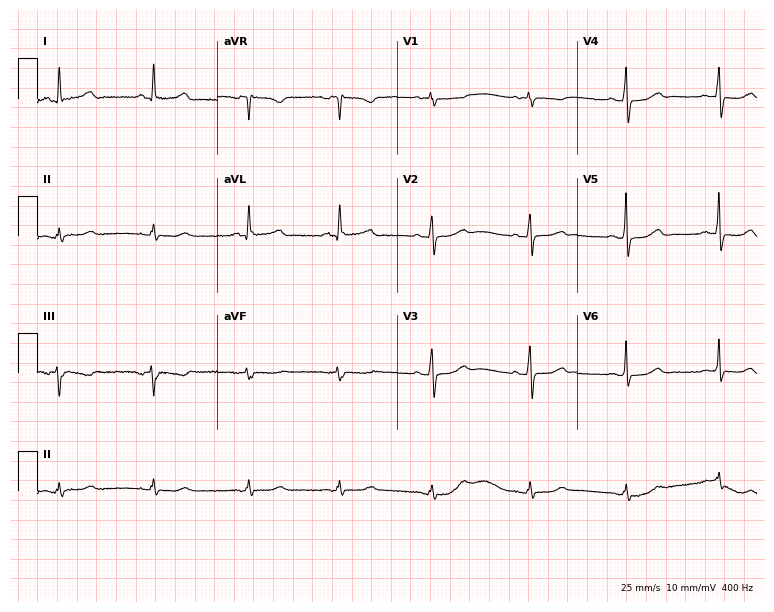
Resting 12-lead electrocardiogram. Patient: a 74-year-old woman. Read as a normal ECG.